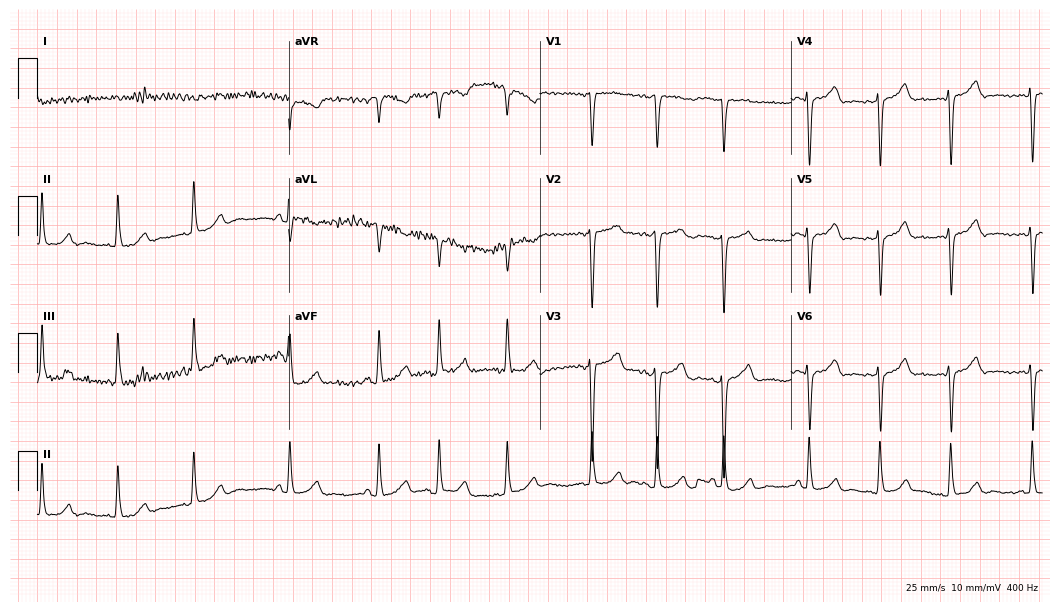
ECG (10.2-second recording at 400 Hz) — an 82-year-old male. Screened for six findings — first-degree AV block, right bundle branch block, left bundle branch block, sinus bradycardia, atrial fibrillation, sinus tachycardia — none is recorded.